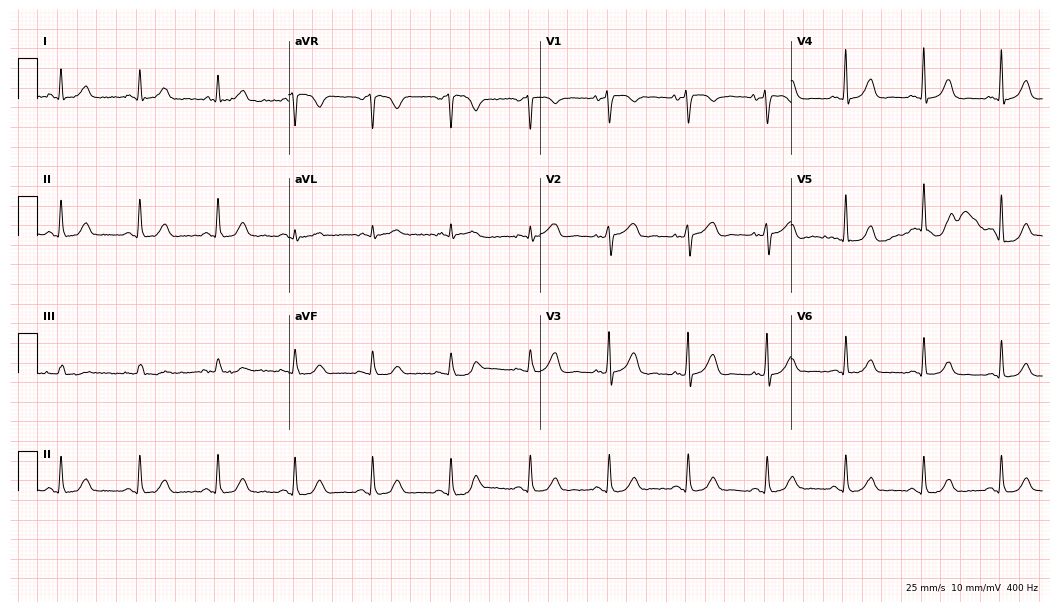
Standard 12-lead ECG recorded from a 54-year-old female patient (10.2-second recording at 400 Hz). Read as a normal ECG.